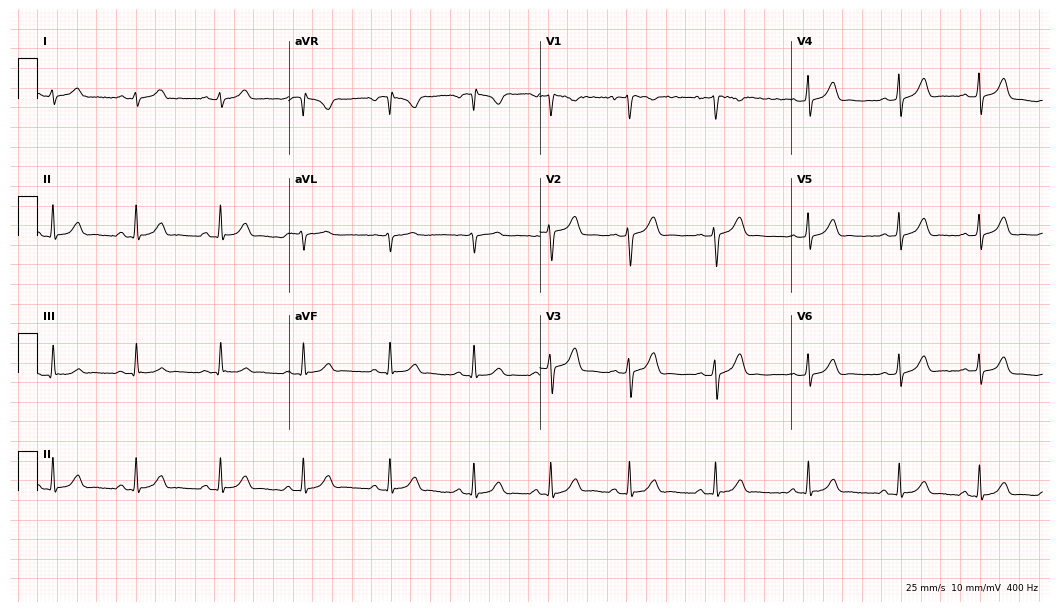
Electrocardiogram, a woman, 25 years old. Of the six screened findings (first-degree AV block, right bundle branch block (RBBB), left bundle branch block (LBBB), sinus bradycardia, atrial fibrillation (AF), sinus tachycardia), none is recorded.